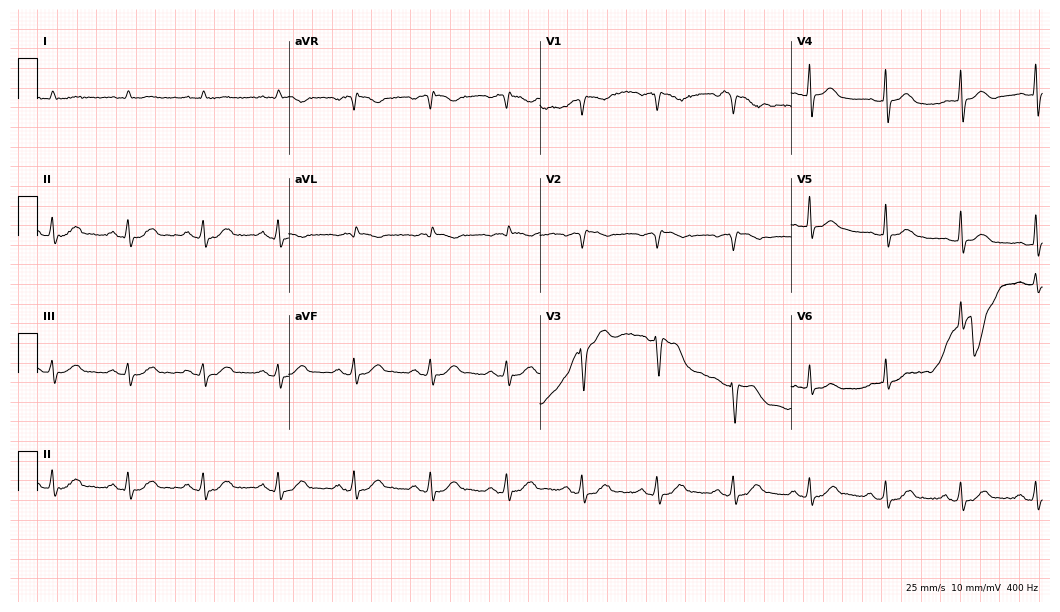
Standard 12-lead ECG recorded from a 78-year-old man (10.2-second recording at 400 Hz). Read as a normal ECG.